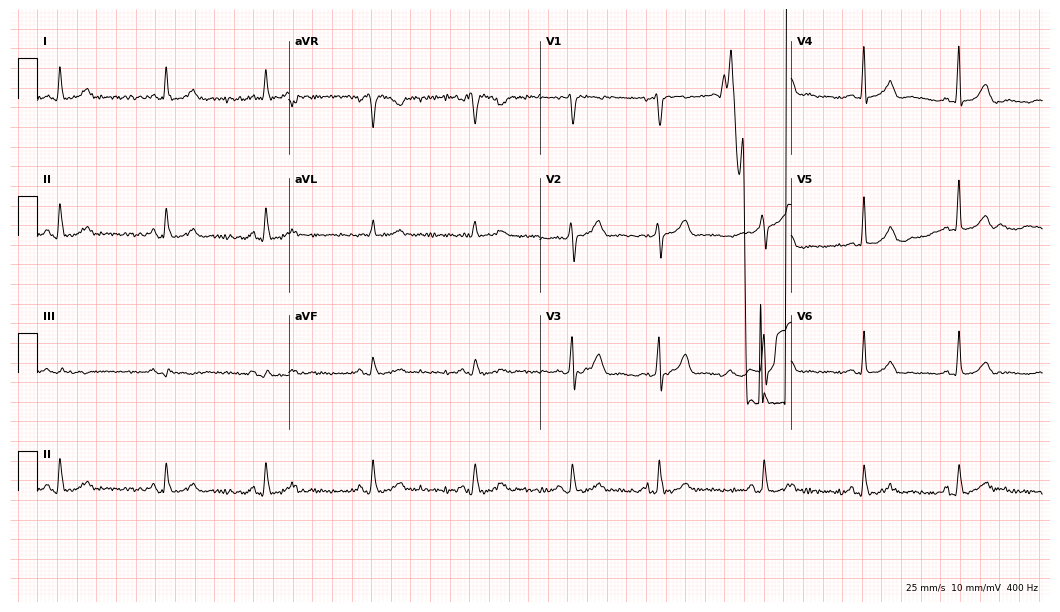
12-lead ECG from a woman, 46 years old. Screened for six findings — first-degree AV block, right bundle branch block, left bundle branch block, sinus bradycardia, atrial fibrillation, sinus tachycardia — none is recorded. Findings outside these six are not listed.